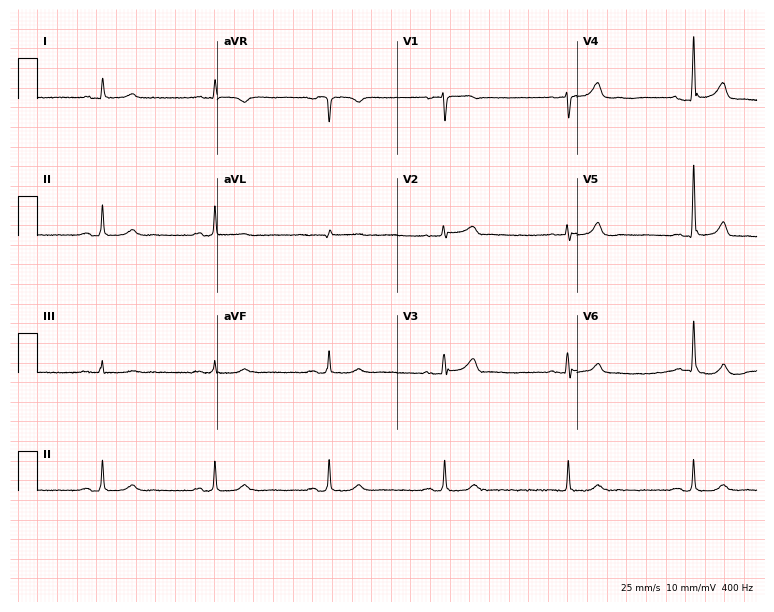
12-lead ECG (7.3-second recording at 400 Hz) from a male, 79 years old. Labelled as a normal ECG.